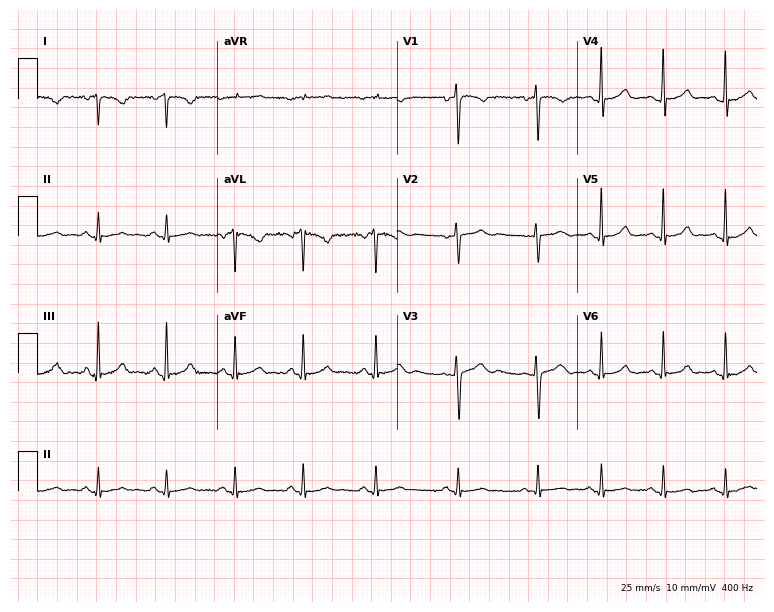
ECG — a female, 20 years old. Screened for six findings — first-degree AV block, right bundle branch block, left bundle branch block, sinus bradycardia, atrial fibrillation, sinus tachycardia — none is recorded.